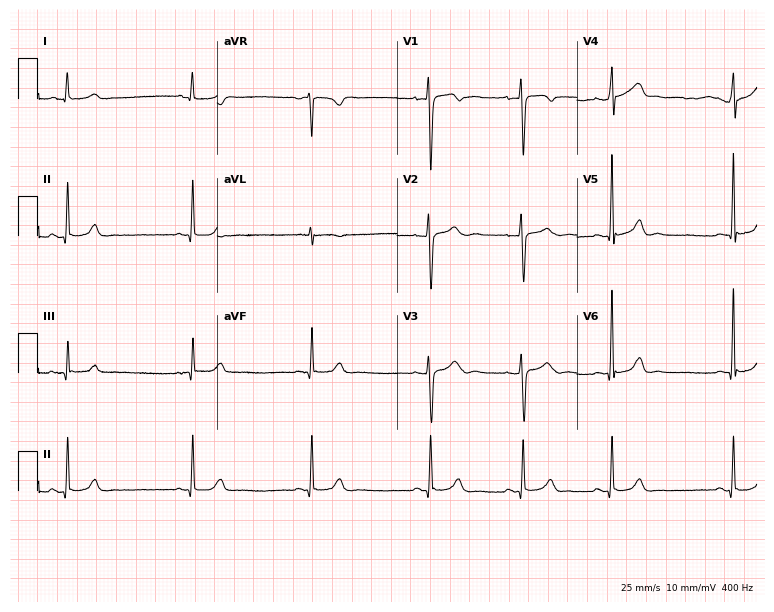
ECG — a 25-year-old female patient. Labelled as a normal ECG.